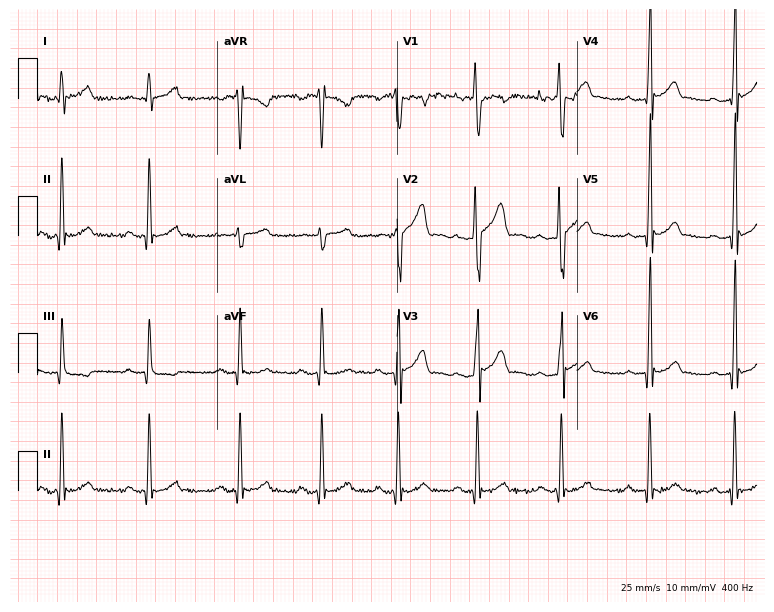
Electrocardiogram (7.3-second recording at 400 Hz), a male patient, 17 years old. Overall reading on record: normal ECG.